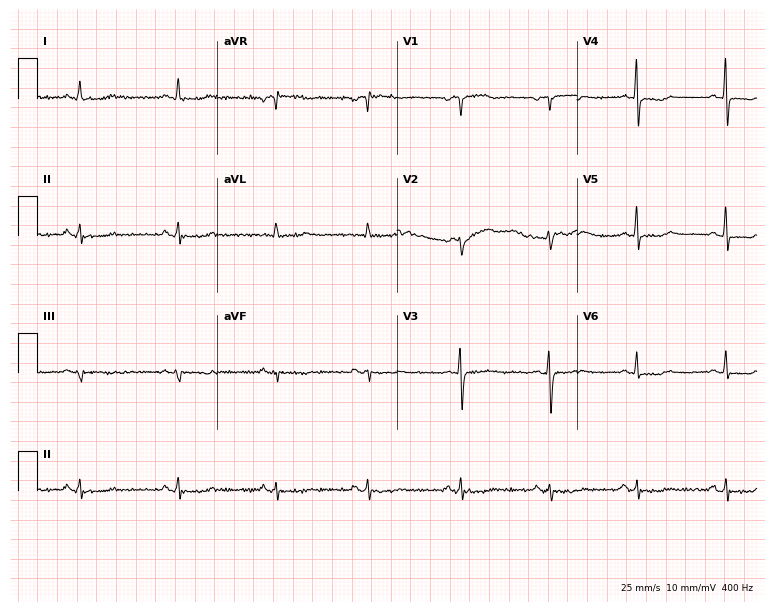
Standard 12-lead ECG recorded from a 50-year-old woman (7.3-second recording at 400 Hz). None of these six findings is recorded: first-degree AV block, right bundle branch block, left bundle branch block, sinus bradycardia, atrial fibrillation, sinus tachycardia.